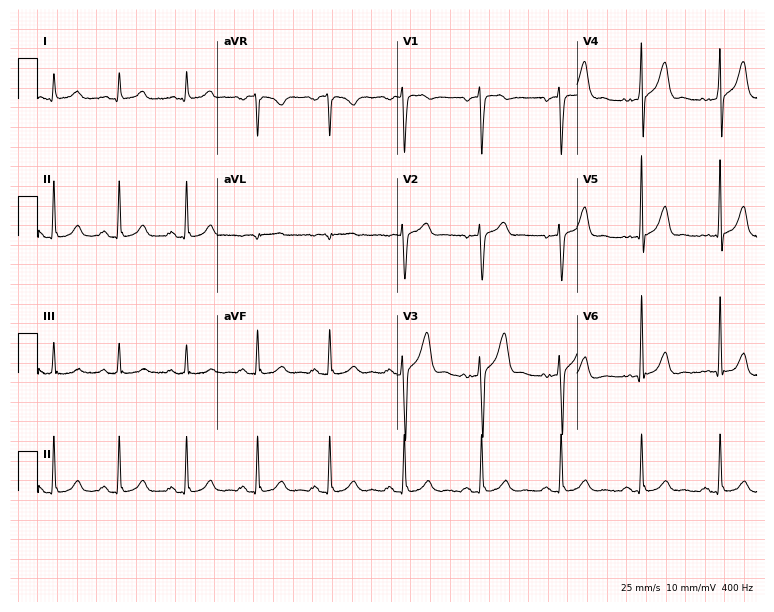
Electrocardiogram (7.3-second recording at 400 Hz), a 51-year-old male. Of the six screened findings (first-degree AV block, right bundle branch block (RBBB), left bundle branch block (LBBB), sinus bradycardia, atrial fibrillation (AF), sinus tachycardia), none is recorded. Findings outside these six are not listed.